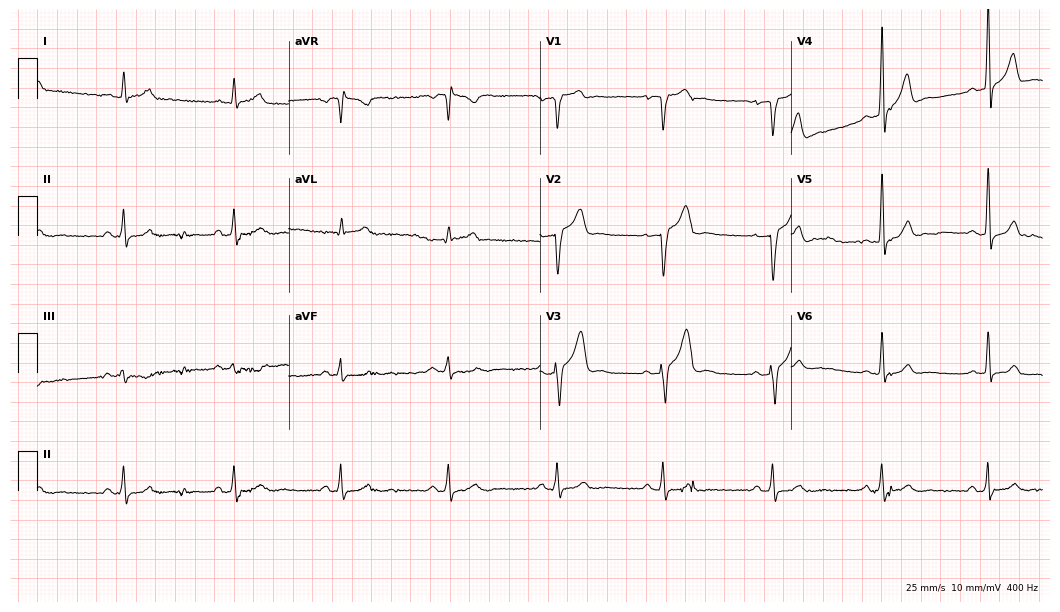
12-lead ECG (10.2-second recording at 400 Hz) from a 41-year-old male. Screened for six findings — first-degree AV block, right bundle branch block, left bundle branch block, sinus bradycardia, atrial fibrillation, sinus tachycardia — none is recorded.